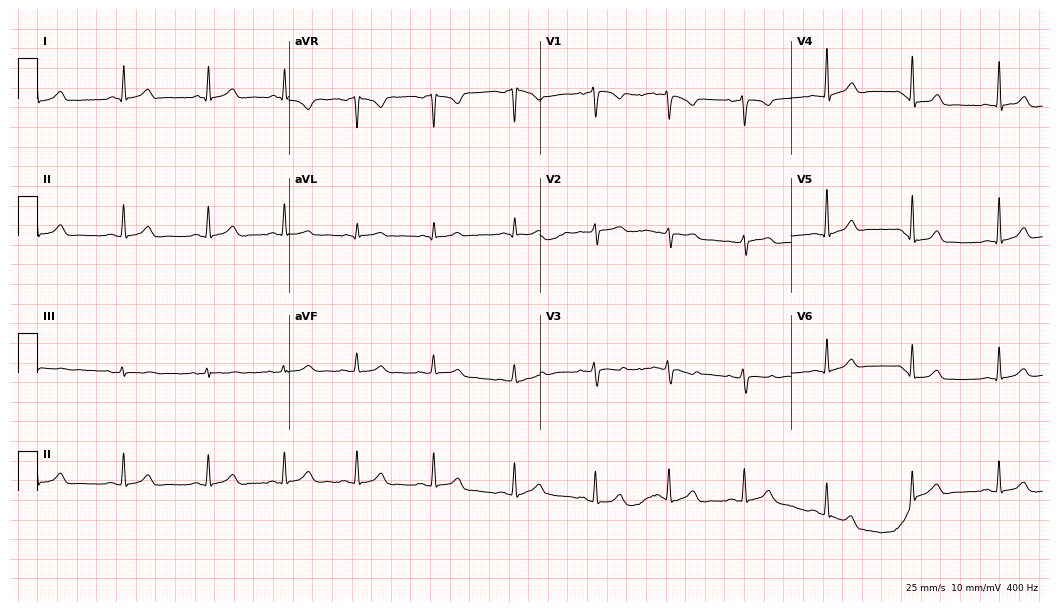
Resting 12-lead electrocardiogram (10.2-second recording at 400 Hz). Patient: a 31-year-old female. Read as a normal ECG.